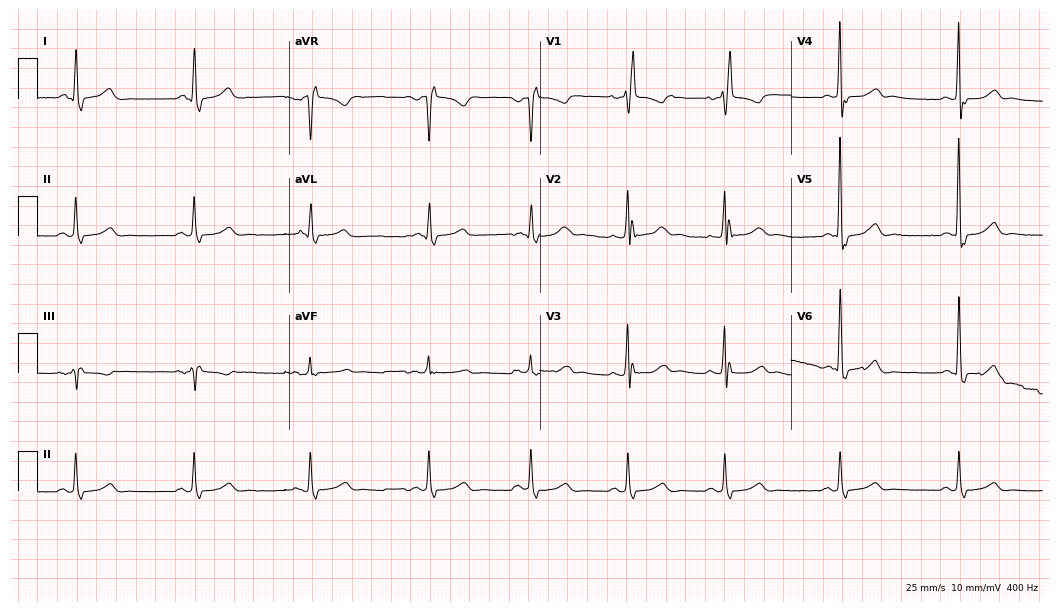
12-lead ECG from a woman, 69 years old (10.2-second recording at 400 Hz). Shows atrial fibrillation.